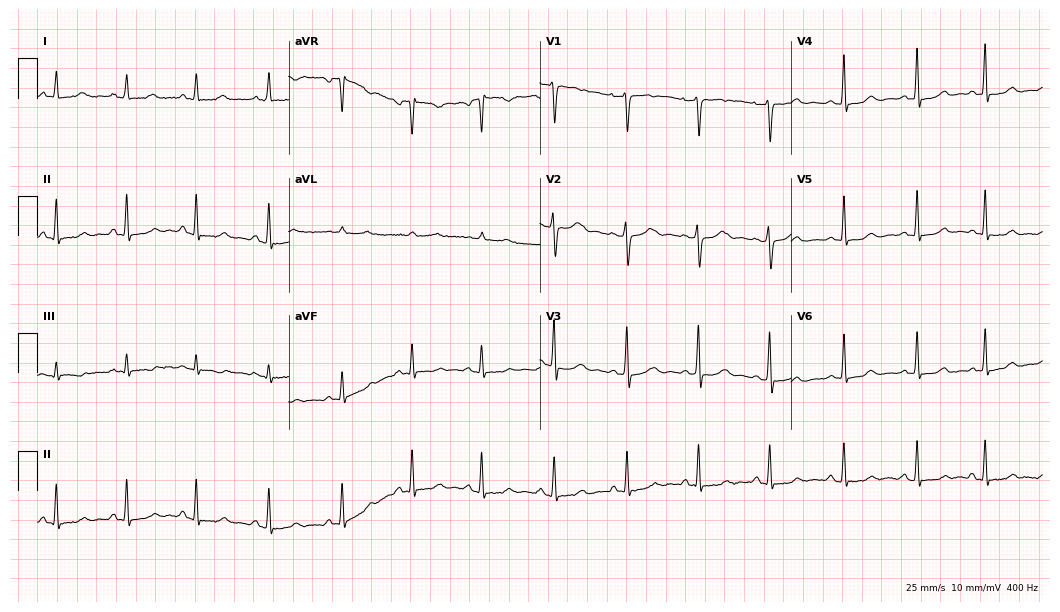
Electrocardiogram (10.2-second recording at 400 Hz), a 31-year-old female patient. Overall reading on record: normal ECG.